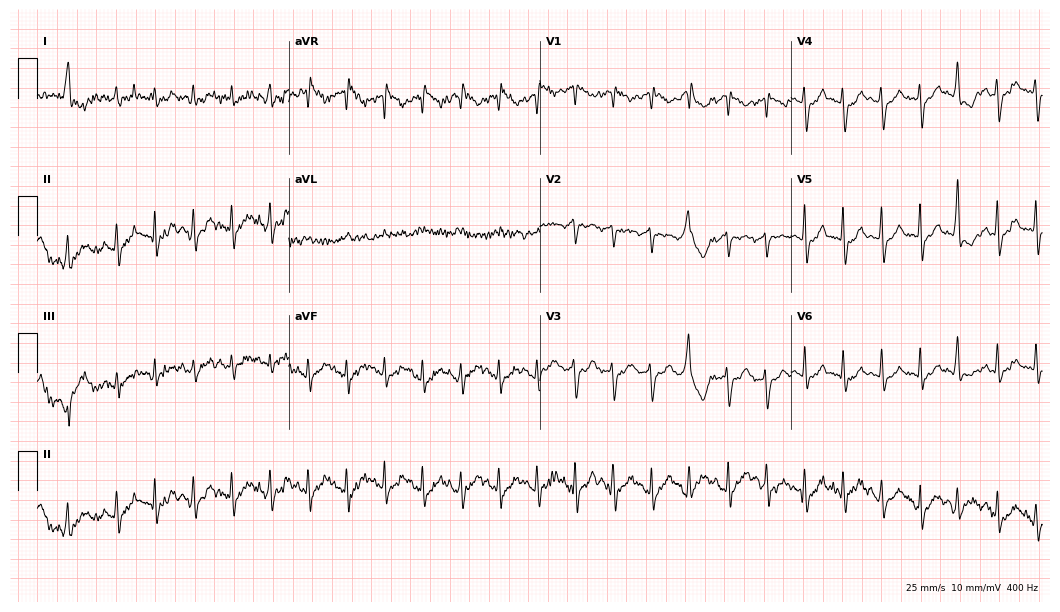
ECG — a 74-year-old woman. Screened for six findings — first-degree AV block, right bundle branch block, left bundle branch block, sinus bradycardia, atrial fibrillation, sinus tachycardia — none is recorded.